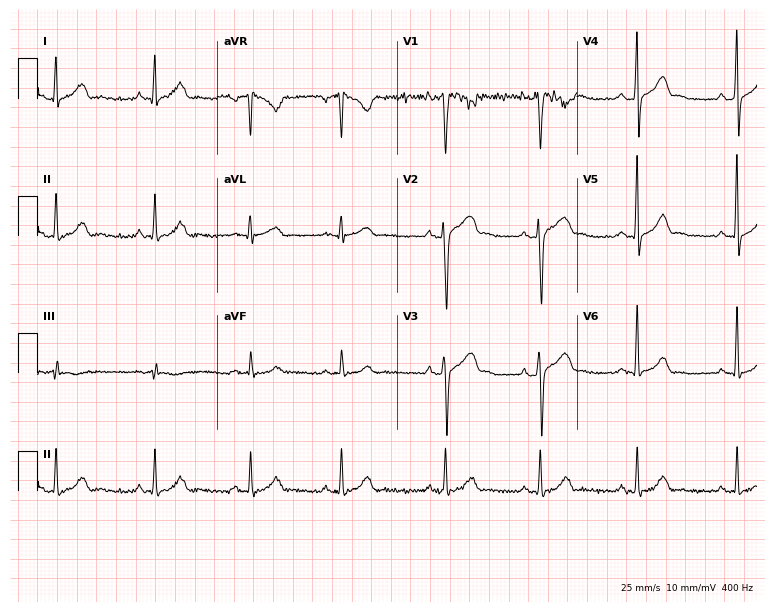
12-lead ECG from a 21-year-old male. Recorded interpretation: within normal limits.